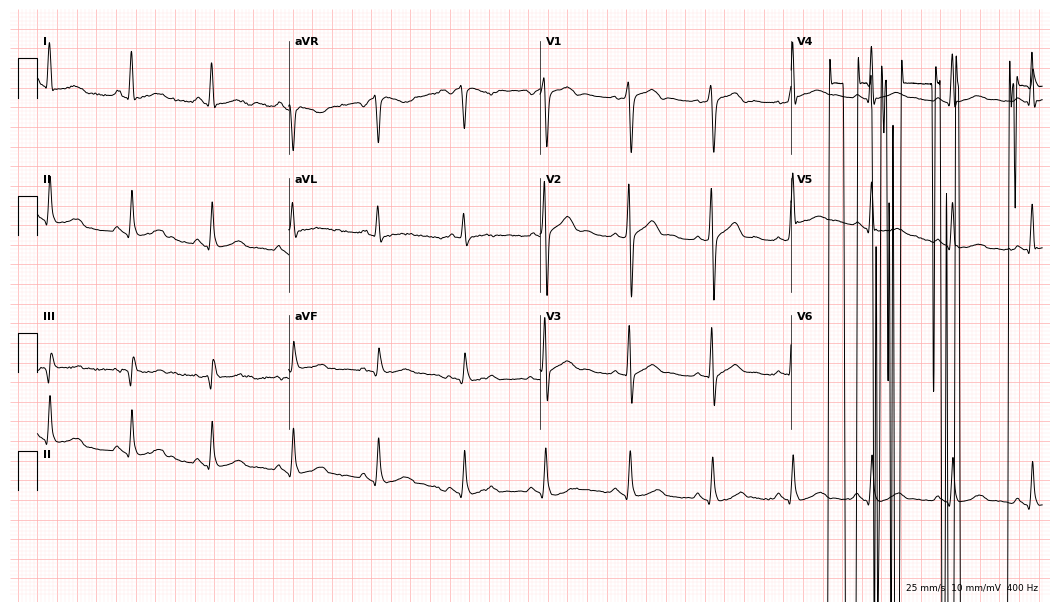
Standard 12-lead ECG recorded from a male patient, 42 years old (10.2-second recording at 400 Hz). None of these six findings is recorded: first-degree AV block, right bundle branch block, left bundle branch block, sinus bradycardia, atrial fibrillation, sinus tachycardia. Findings outside these six are not listed.